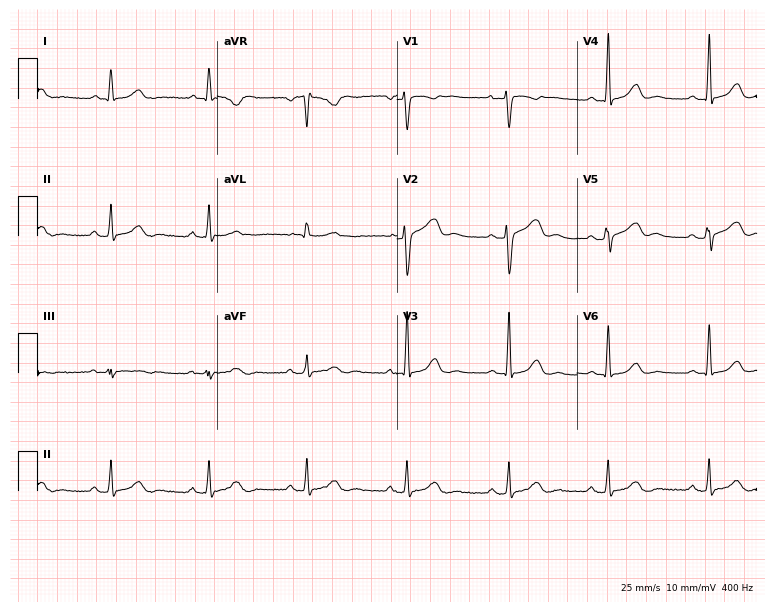
12-lead ECG (7.3-second recording at 400 Hz) from a 60-year-old woman. Screened for six findings — first-degree AV block, right bundle branch block (RBBB), left bundle branch block (LBBB), sinus bradycardia, atrial fibrillation (AF), sinus tachycardia — none is recorded. Other findings, if any, are not listed.